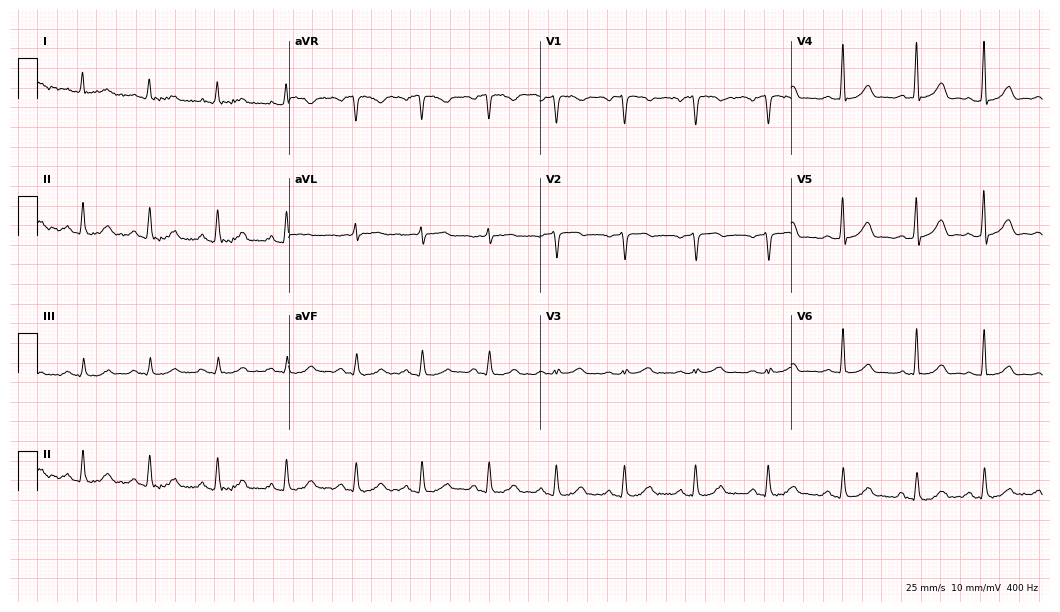
Standard 12-lead ECG recorded from a 50-year-old male patient. Read as a normal ECG.